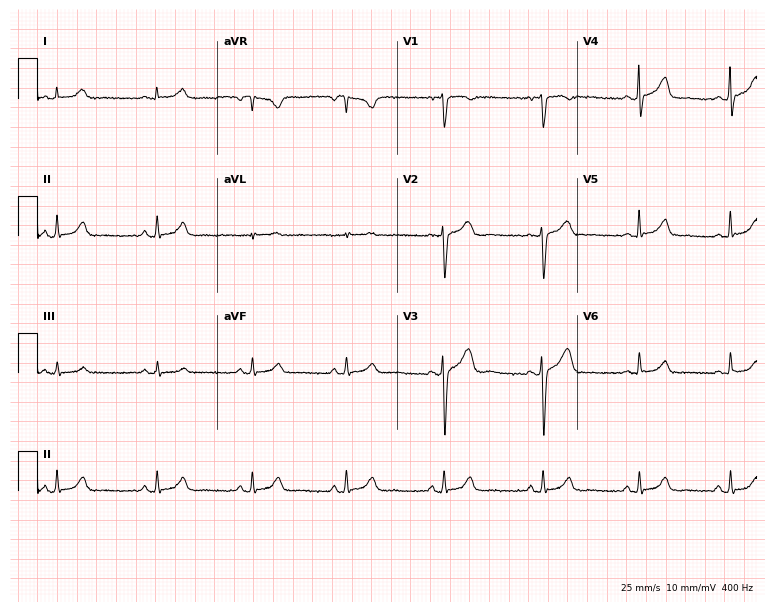
Standard 12-lead ECG recorded from a 41-year-old man (7.3-second recording at 400 Hz). Read as a normal ECG.